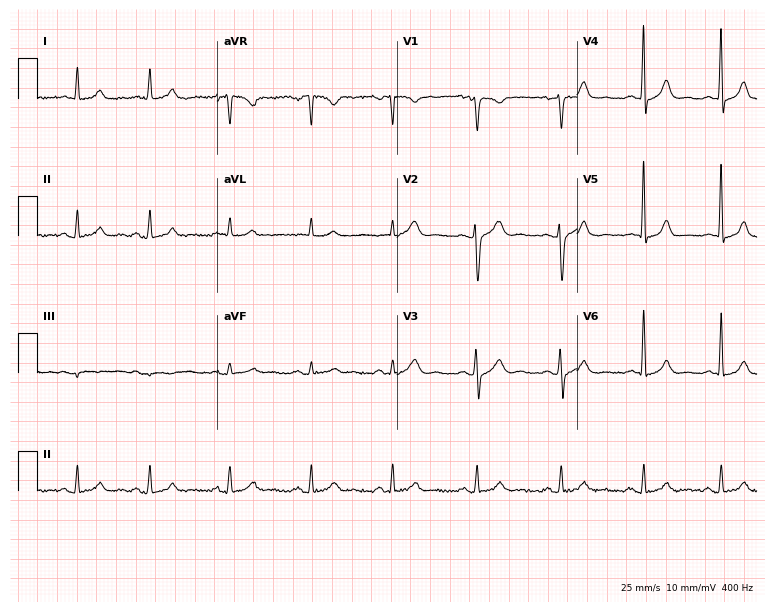
ECG — a 58-year-old male patient. Screened for six findings — first-degree AV block, right bundle branch block (RBBB), left bundle branch block (LBBB), sinus bradycardia, atrial fibrillation (AF), sinus tachycardia — none is recorded.